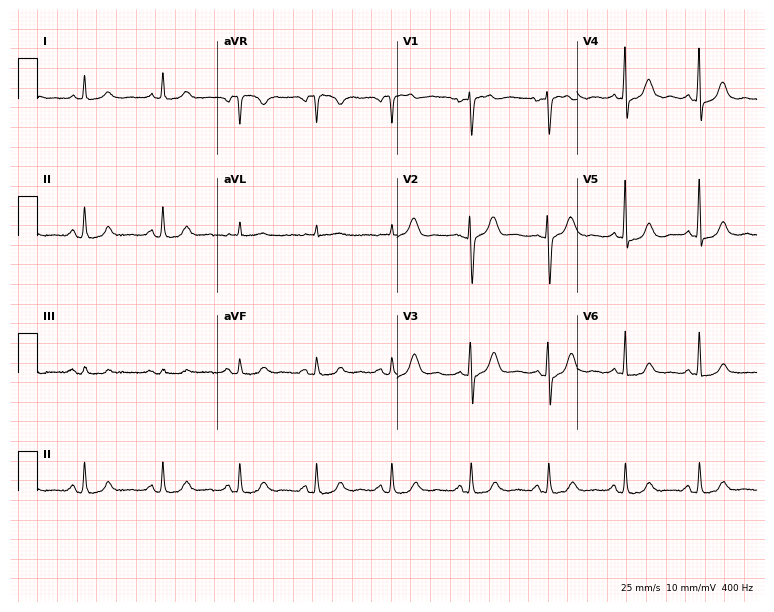
Standard 12-lead ECG recorded from a woman, 65 years old. None of these six findings is recorded: first-degree AV block, right bundle branch block, left bundle branch block, sinus bradycardia, atrial fibrillation, sinus tachycardia. Findings outside these six are not listed.